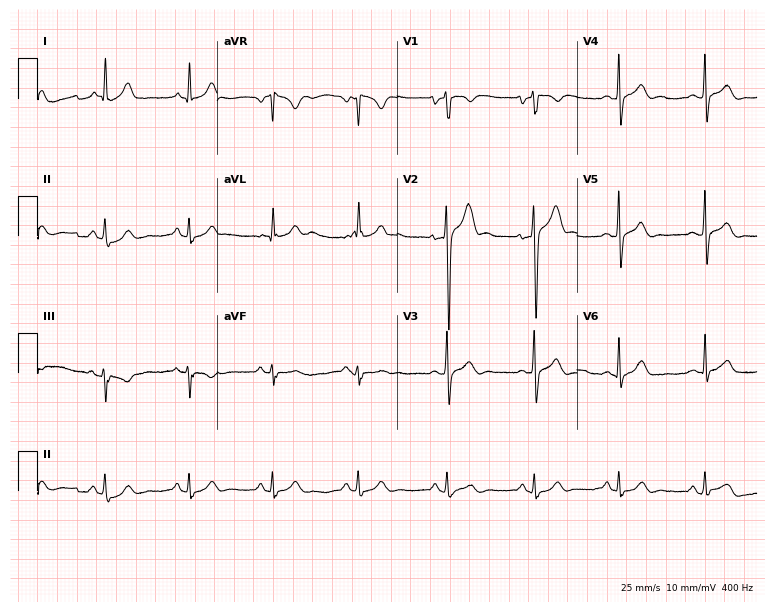
12-lead ECG from a male patient, 26 years old (7.3-second recording at 400 Hz). No first-degree AV block, right bundle branch block, left bundle branch block, sinus bradycardia, atrial fibrillation or sinus tachycardia recorded for this tracing. Findings outside these six are not listed.